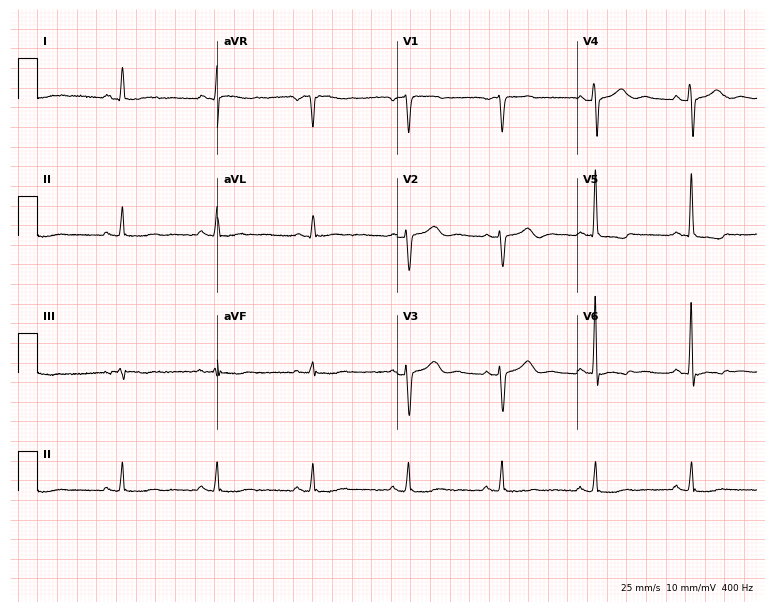
Resting 12-lead electrocardiogram (7.3-second recording at 400 Hz). Patient: a 61-year-old female. None of these six findings is recorded: first-degree AV block, right bundle branch block (RBBB), left bundle branch block (LBBB), sinus bradycardia, atrial fibrillation (AF), sinus tachycardia. Findings outside these six are not listed.